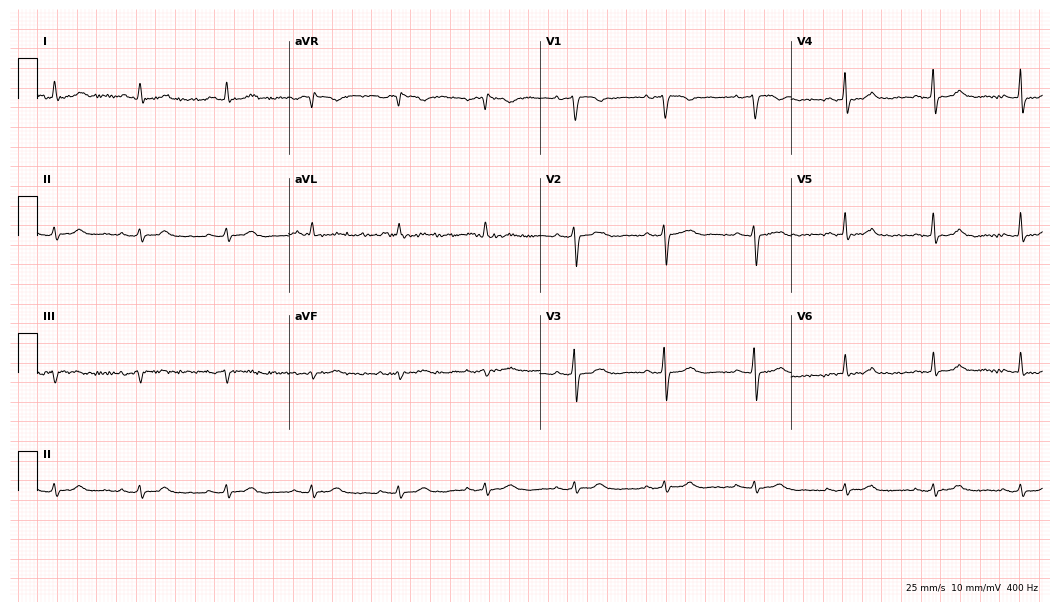
ECG (10.2-second recording at 400 Hz) — a 74-year-old woman. Screened for six findings — first-degree AV block, right bundle branch block (RBBB), left bundle branch block (LBBB), sinus bradycardia, atrial fibrillation (AF), sinus tachycardia — none is recorded. Other findings, if any, are not listed.